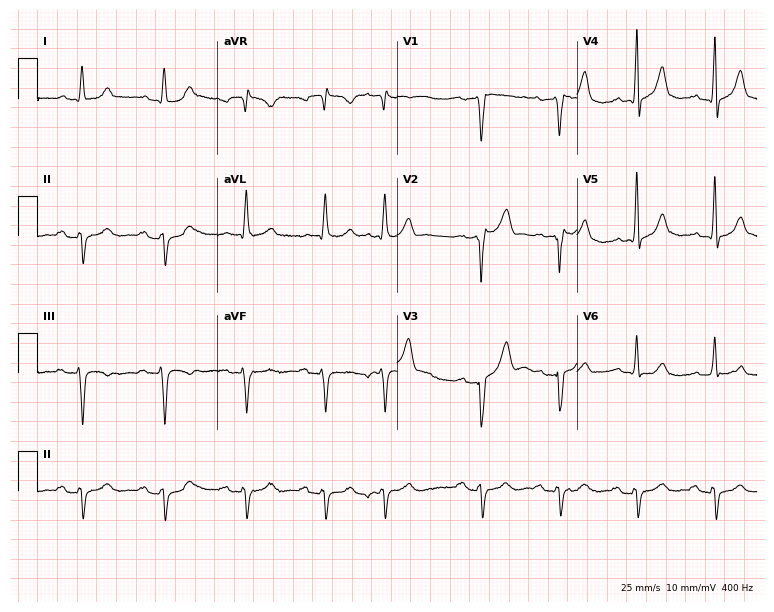
Electrocardiogram (7.3-second recording at 400 Hz), a 71-year-old male. Of the six screened findings (first-degree AV block, right bundle branch block, left bundle branch block, sinus bradycardia, atrial fibrillation, sinus tachycardia), none is recorded.